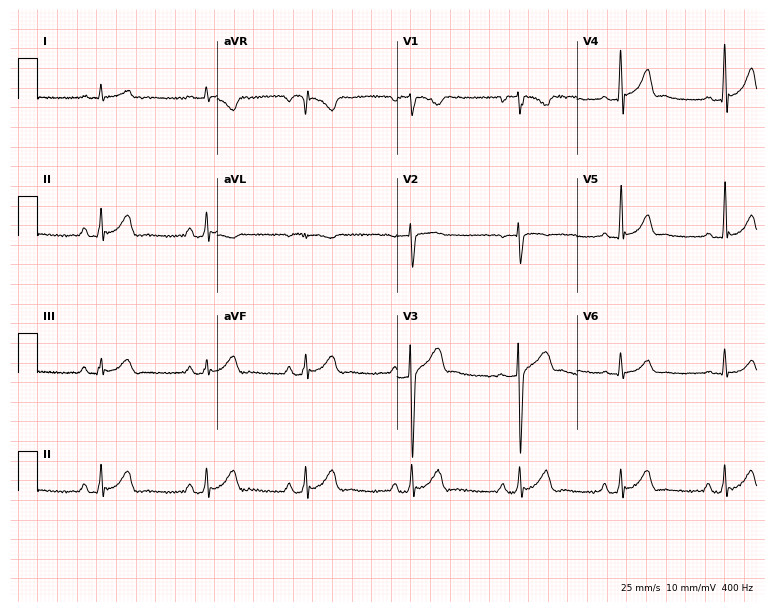
12-lead ECG from a 25-year-old male patient (7.3-second recording at 400 Hz). Recorded interpretation: within normal limits.